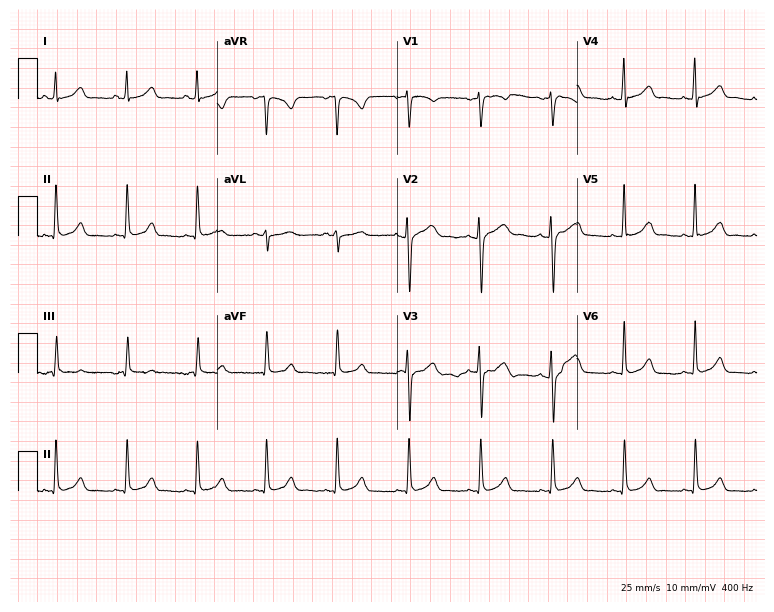
12-lead ECG from a woman, 33 years old. Labelled as a normal ECG.